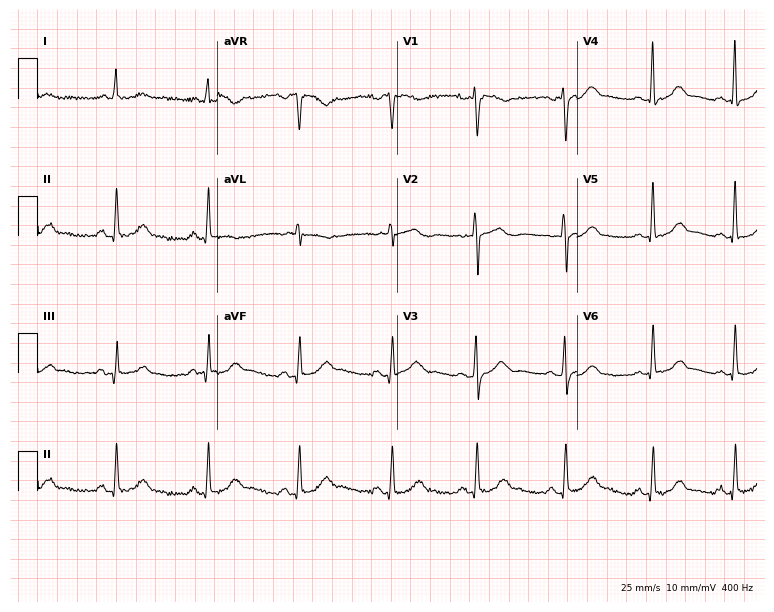
Electrocardiogram (7.3-second recording at 400 Hz), a 57-year-old female patient. Overall reading on record: normal ECG.